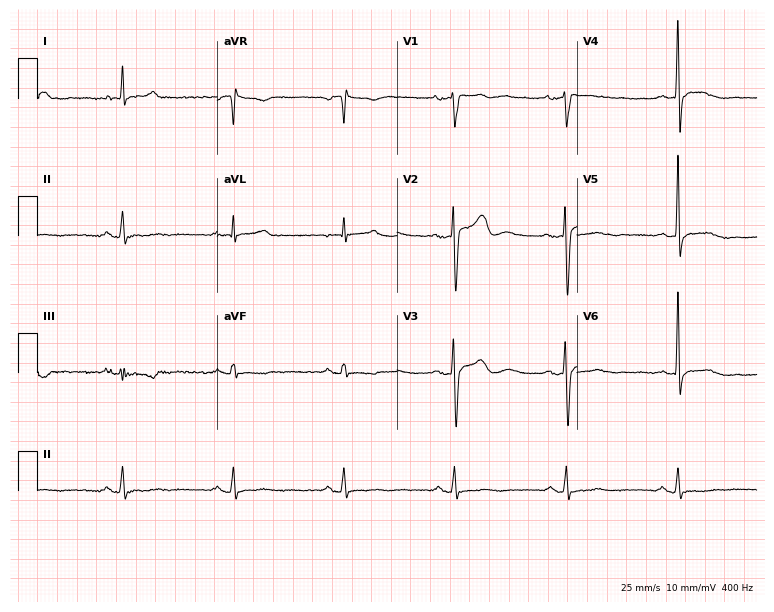
ECG (7.3-second recording at 400 Hz) — a male patient, 46 years old. Screened for six findings — first-degree AV block, right bundle branch block, left bundle branch block, sinus bradycardia, atrial fibrillation, sinus tachycardia — none is recorded. Other findings, if any, are not listed.